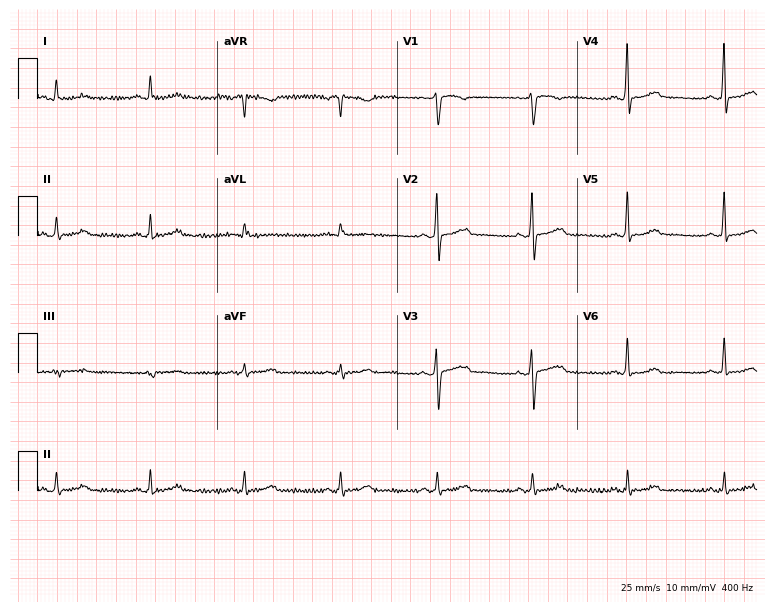
Resting 12-lead electrocardiogram (7.3-second recording at 400 Hz). Patient: a 43-year-old female. Read as a normal ECG.